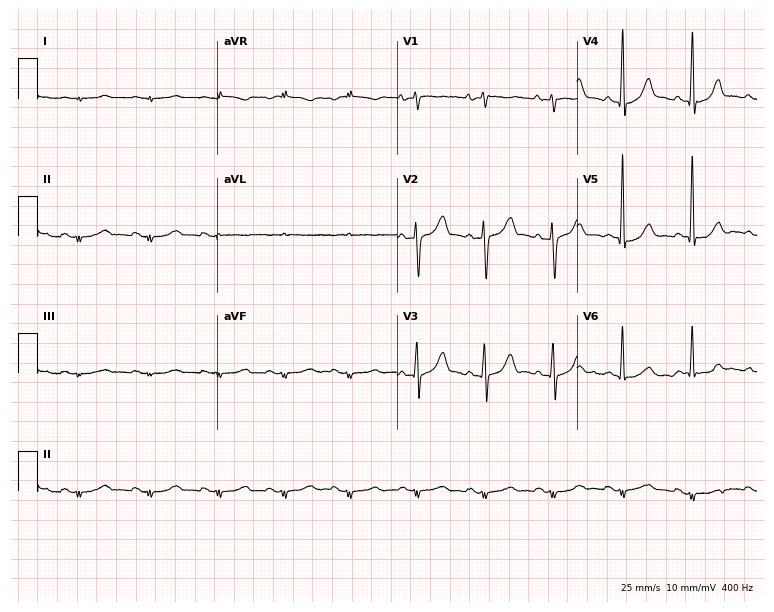
12-lead ECG from a 73-year-old male patient (7.3-second recording at 400 Hz). No first-degree AV block, right bundle branch block, left bundle branch block, sinus bradycardia, atrial fibrillation or sinus tachycardia recorded for this tracing. Findings outside these six are not listed.